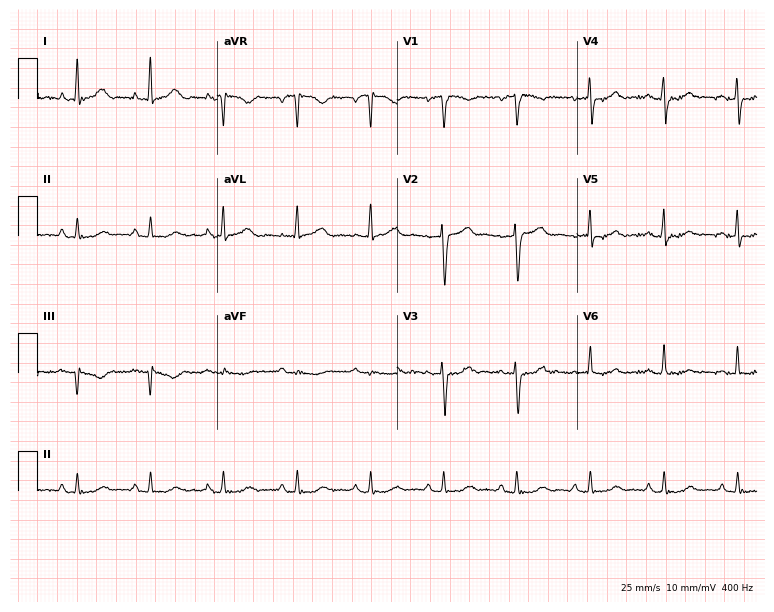
Standard 12-lead ECG recorded from a female, 53 years old (7.3-second recording at 400 Hz). None of these six findings is recorded: first-degree AV block, right bundle branch block, left bundle branch block, sinus bradycardia, atrial fibrillation, sinus tachycardia. Findings outside these six are not listed.